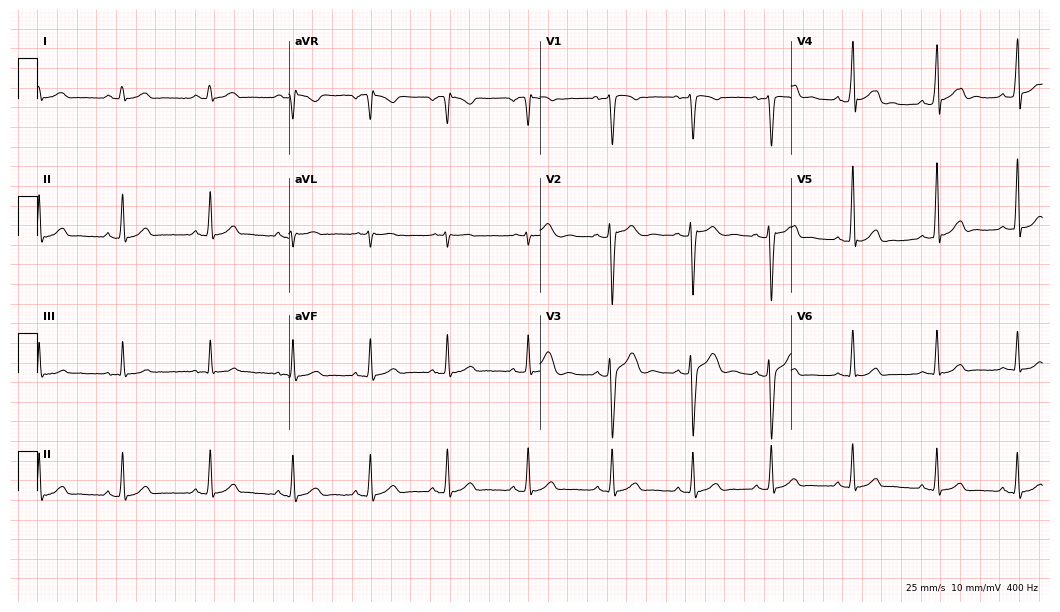
Electrocardiogram (10.2-second recording at 400 Hz), a man, 24 years old. Of the six screened findings (first-degree AV block, right bundle branch block (RBBB), left bundle branch block (LBBB), sinus bradycardia, atrial fibrillation (AF), sinus tachycardia), none is recorded. Only these six findings were labelled.